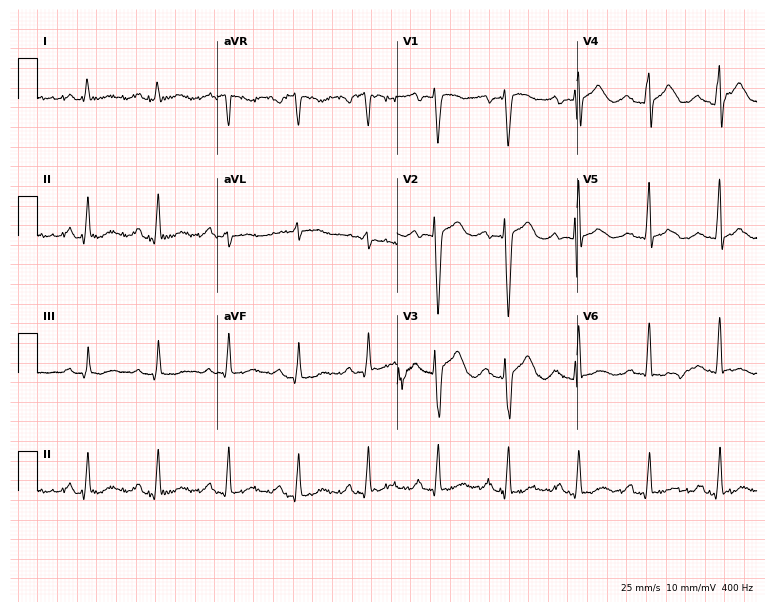
Standard 12-lead ECG recorded from a 48-year-old male. None of these six findings is recorded: first-degree AV block, right bundle branch block, left bundle branch block, sinus bradycardia, atrial fibrillation, sinus tachycardia.